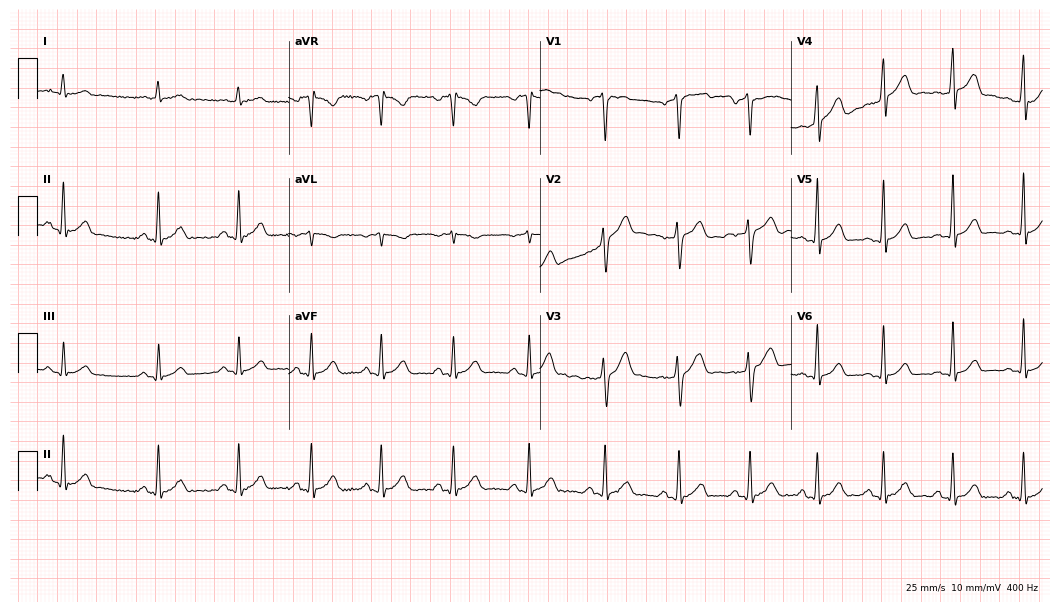
12-lead ECG from a male patient, 31 years old. Screened for six findings — first-degree AV block, right bundle branch block, left bundle branch block, sinus bradycardia, atrial fibrillation, sinus tachycardia — none is recorded. Findings outside these six are not listed.